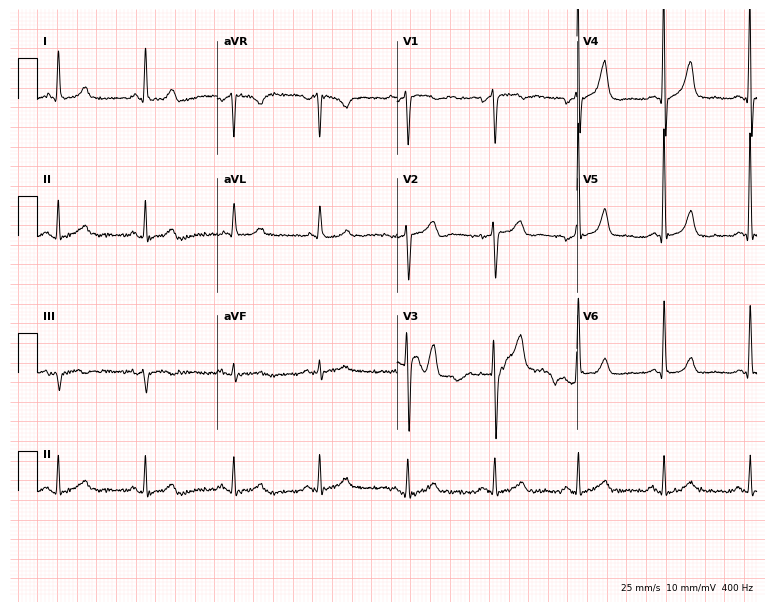
12-lead ECG from a male, 81 years old. No first-degree AV block, right bundle branch block, left bundle branch block, sinus bradycardia, atrial fibrillation or sinus tachycardia recorded for this tracing.